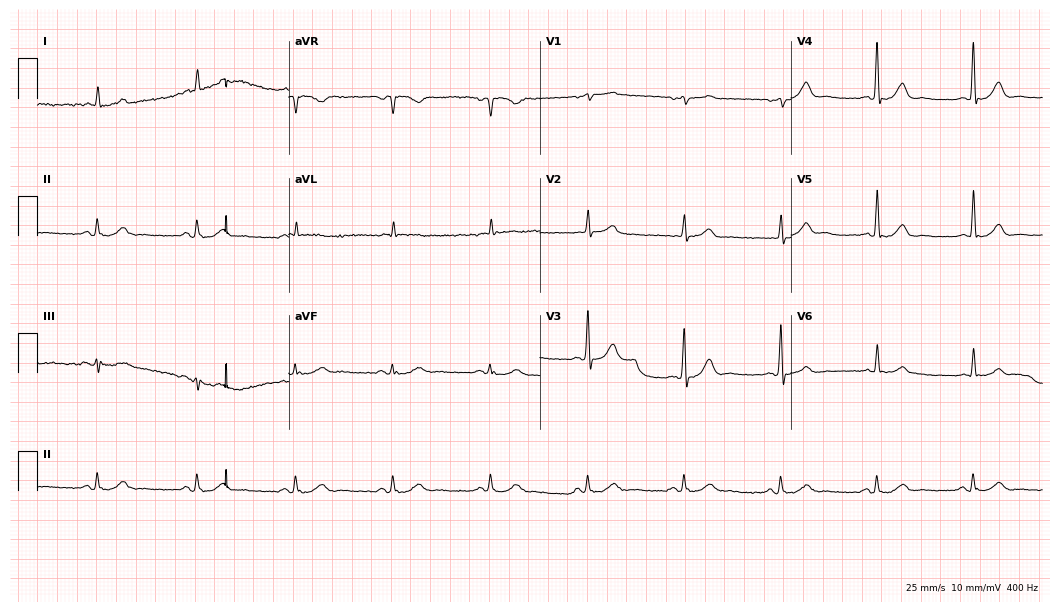
ECG — a man, 82 years old. Screened for six findings — first-degree AV block, right bundle branch block, left bundle branch block, sinus bradycardia, atrial fibrillation, sinus tachycardia — none is recorded.